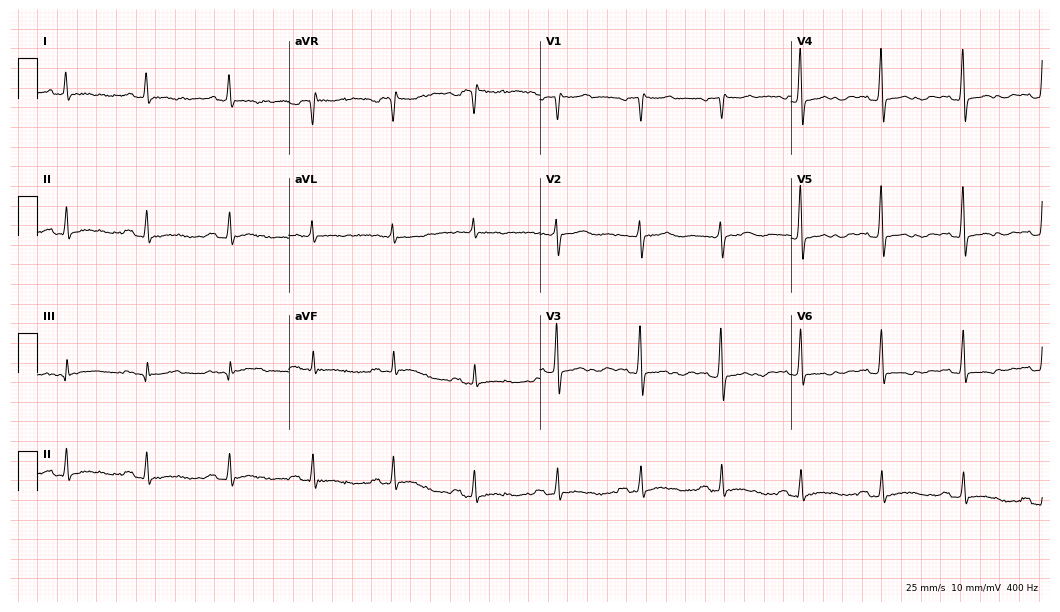
Standard 12-lead ECG recorded from a 66-year-old woman. Read as a normal ECG.